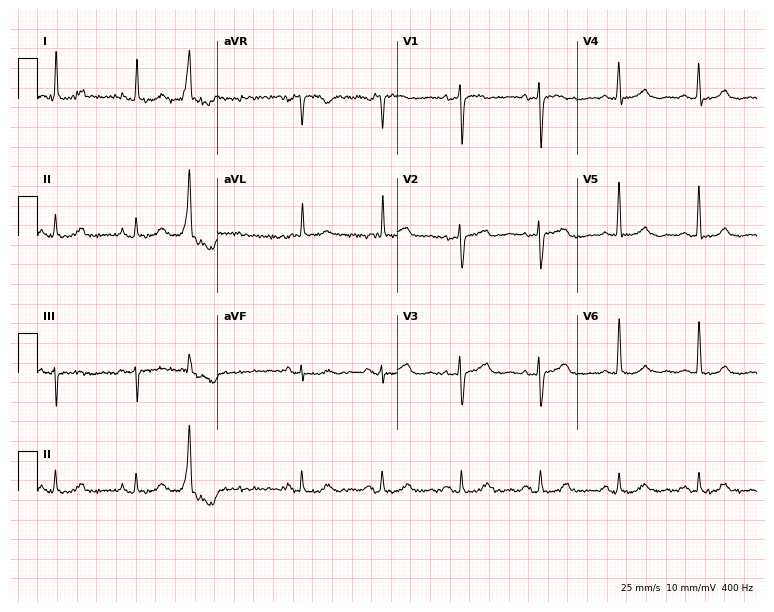
Standard 12-lead ECG recorded from a female patient, 86 years old (7.3-second recording at 400 Hz). None of these six findings is recorded: first-degree AV block, right bundle branch block, left bundle branch block, sinus bradycardia, atrial fibrillation, sinus tachycardia.